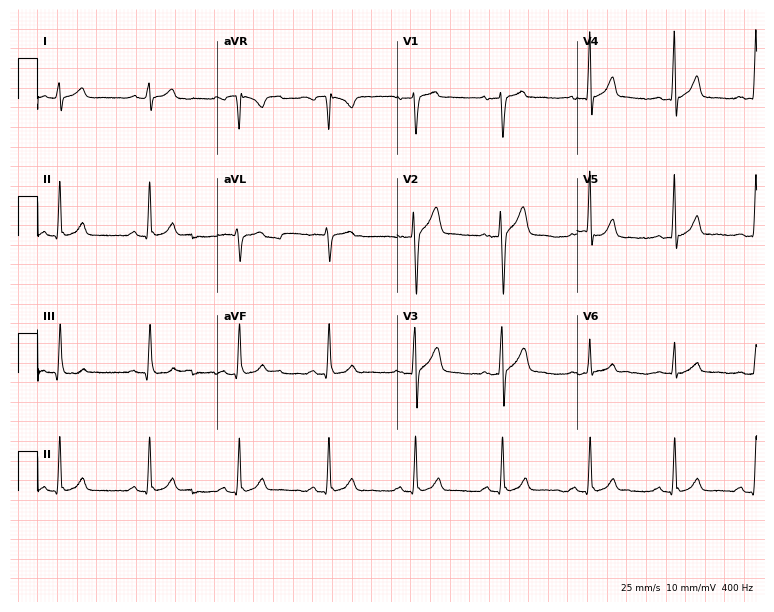
Standard 12-lead ECG recorded from a male patient, 30 years old (7.3-second recording at 400 Hz). Read as a normal ECG.